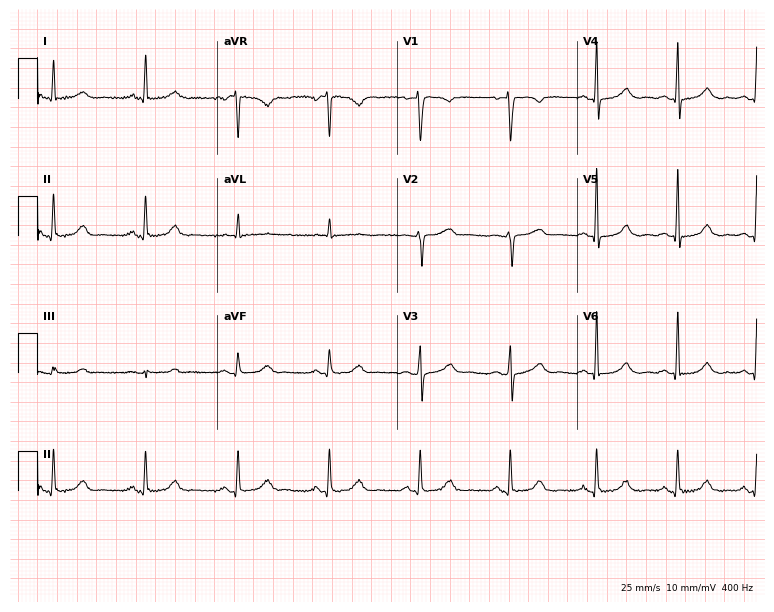
Standard 12-lead ECG recorded from a 49-year-old female. Read as a normal ECG.